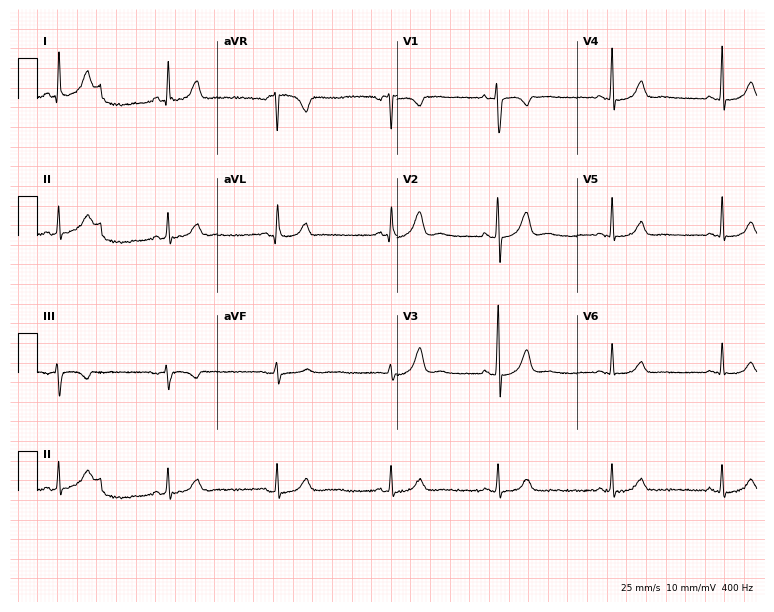
ECG — a 42-year-old female. Labelled as a normal ECG.